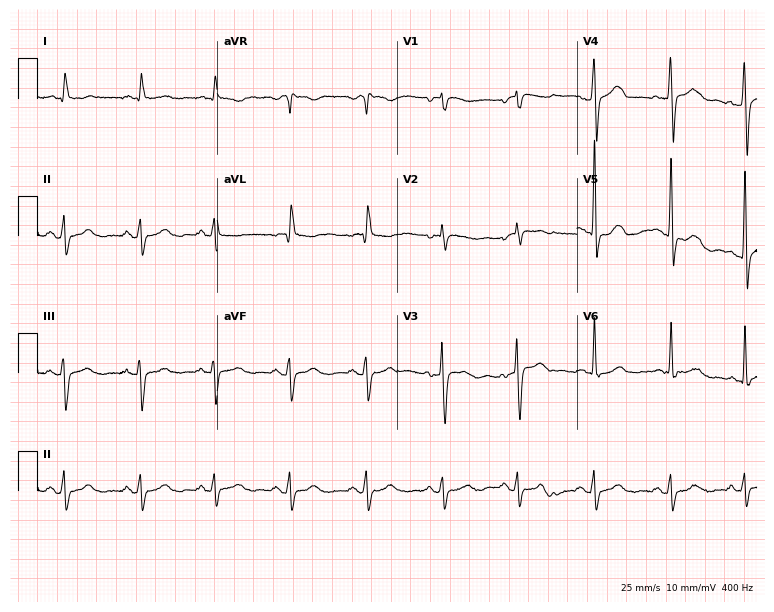
Standard 12-lead ECG recorded from a 78-year-old female. None of these six findings is recorded: first-degree AV block, right bundle branch block, left bundle branch block, sinus bradycardia, atrial fibrillation, sinus tachycardia.